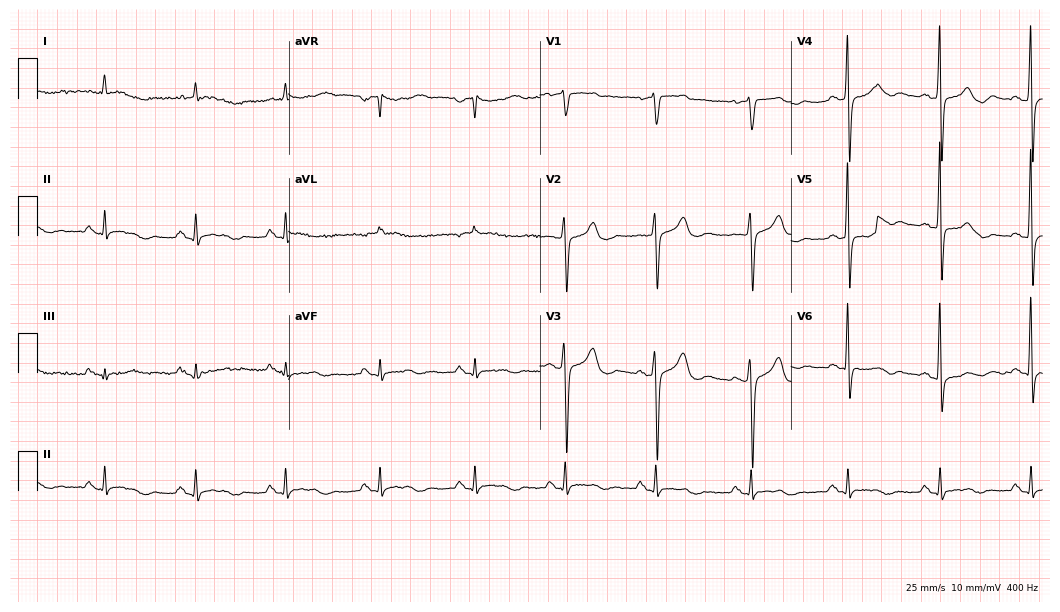
Electrocardiogram, a 73-year-old man. Of the six screened findings (first-degree AV block, right bundle branch block (RBBB), left bundle branch block (LBBB), sinus bradycardia, atrial fibrillation (AF), sinus tachycardia), none is recorded.